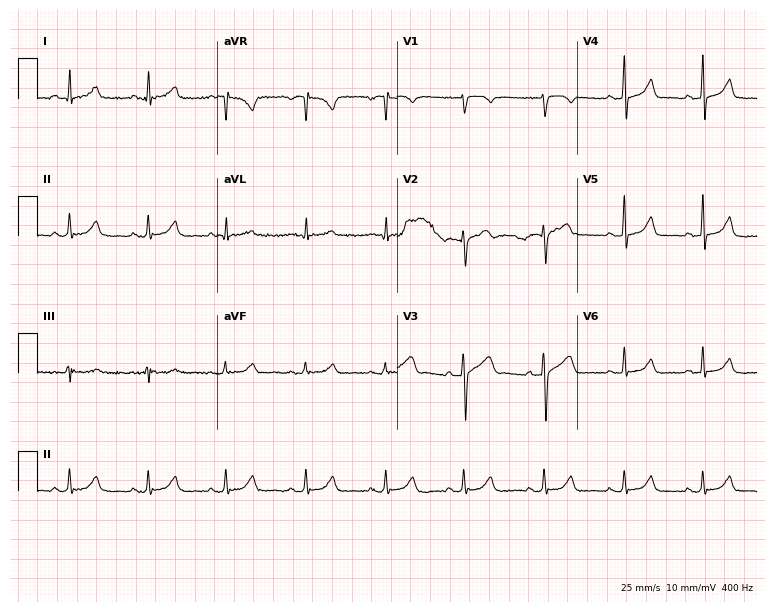
Resting 12-lead electrocardiogram (7.3-second recording at 400 Hz). Patient: a 37-year-old female. Read as a normal ECG.